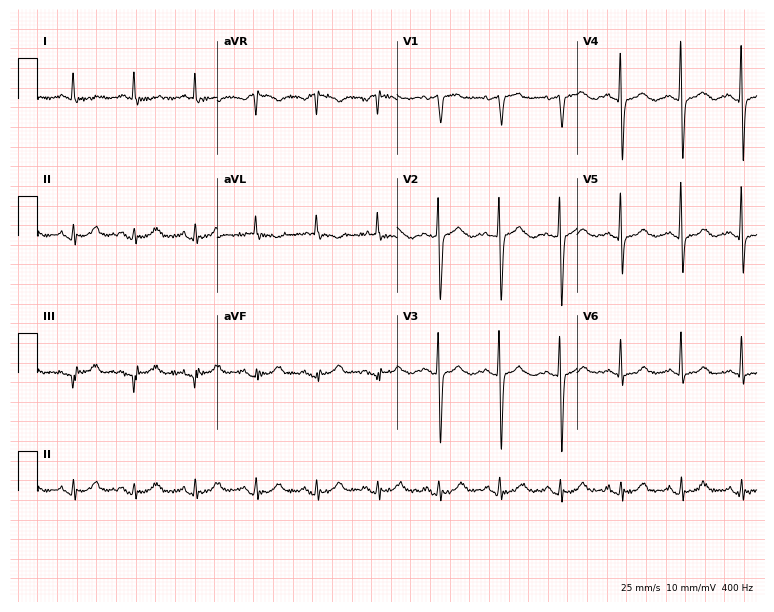
Standard 12-lead ECG recorded from a female patient, 70 years old. None of these six findings is recorded: first-degree AV block, right bundle branch block, left bundle branch block, sinus bradycardia, atrial fibrillation, sinus tachycardia. Other findings, if any, are not listed.